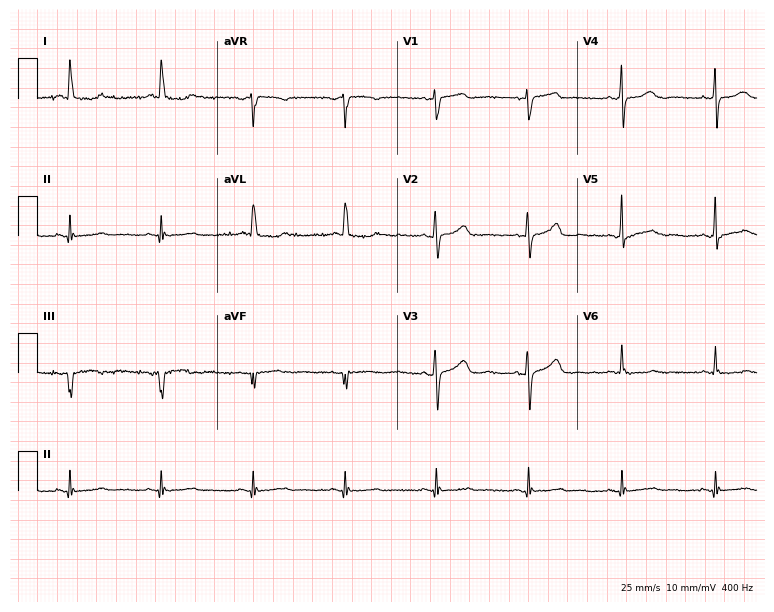
Resting 12-lead electrocardiogram. Patient: a woman, 77 years old. None of these six findings is recorded: first-degree AV block, right bundle branch block (RBBB), left bundle branch block (LBBB), sinus bradycardia, atrial fibrillation (AF), sinus tachycardia.